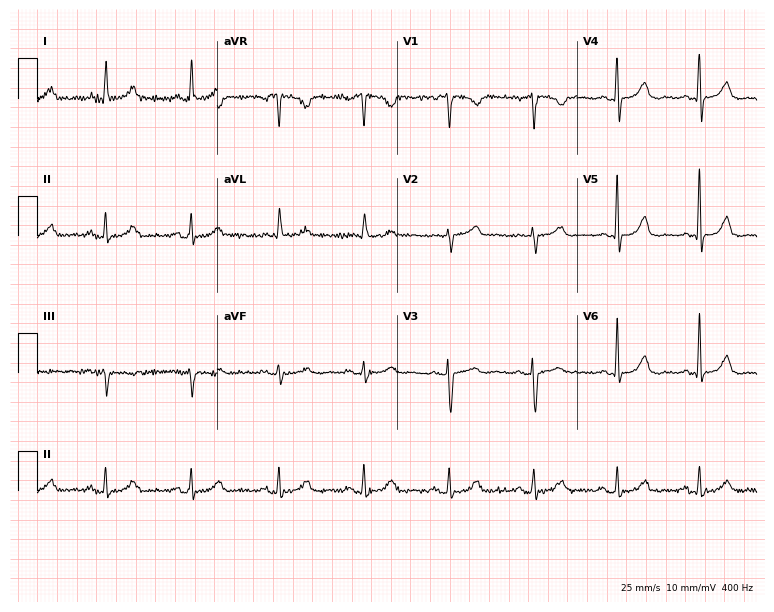
12-lead ECG from a 76-year-old woman. Recorded interpretation: within normal limits.